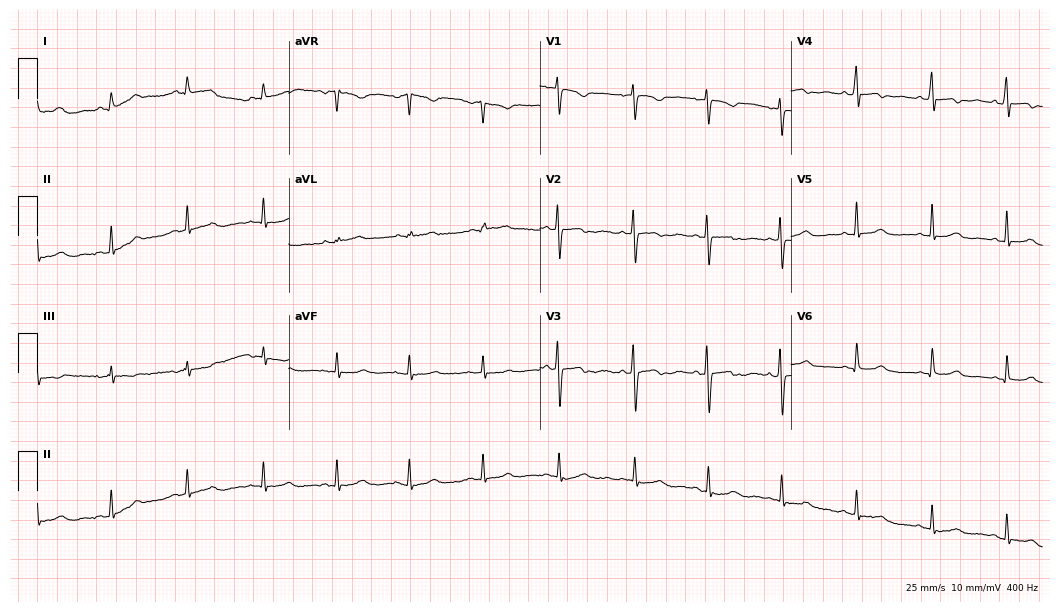
Electrocardiogram (10.2-second recording at 400 Hz), a 32-year-old female patient. Overall reading on record: normal ECG.